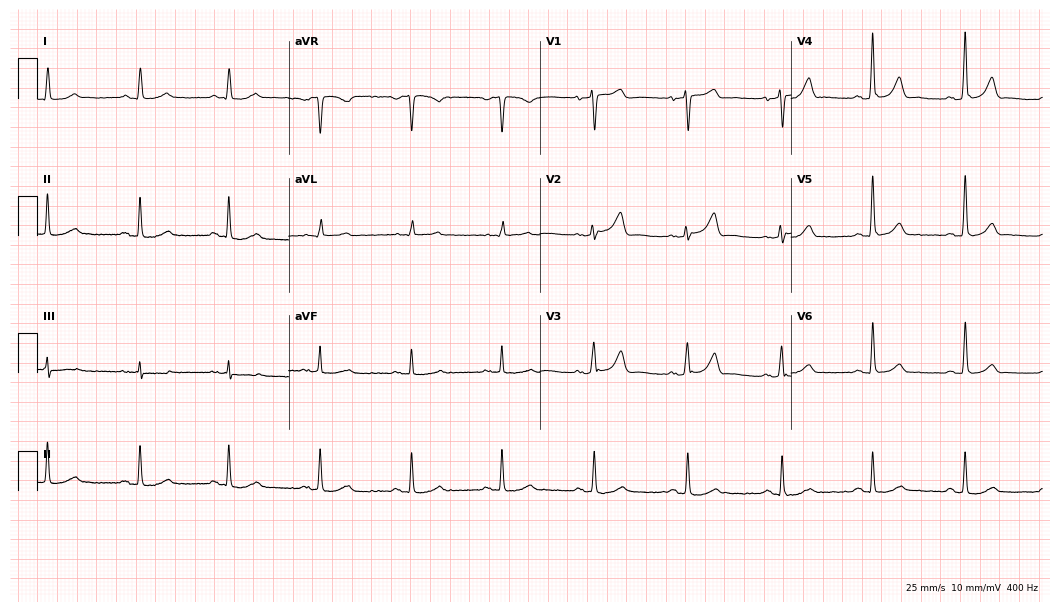
Standard 12-lead ECG recorded from a 58-year-old woman (10.2-second recording at 400 Hz). None of these six findings is recorded: first-degree AV block, right bundle branch block, left bundle branch block, sinus bradycardia, atrial fibrillation, sinus tachycardia. Other findings, if any, are not listed.